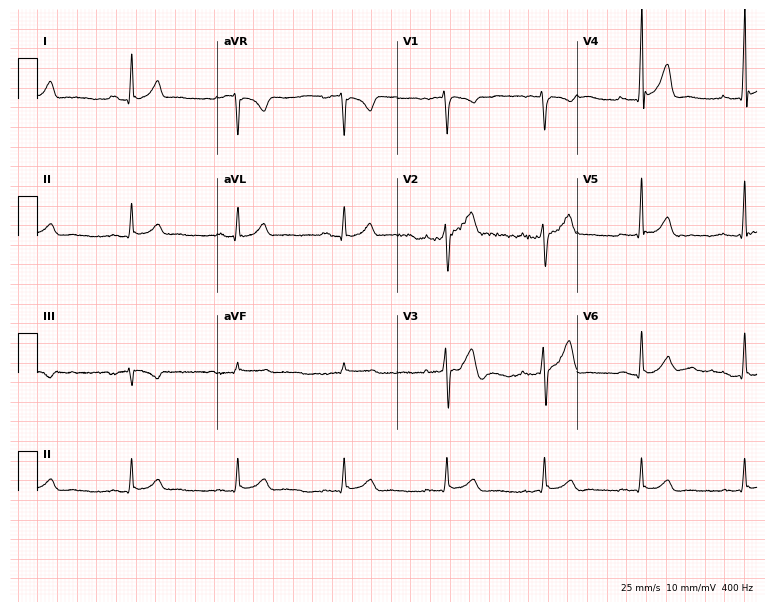
Standard 12-lead ECG recorded from a man, 43 years old. Read as a normal ECG.